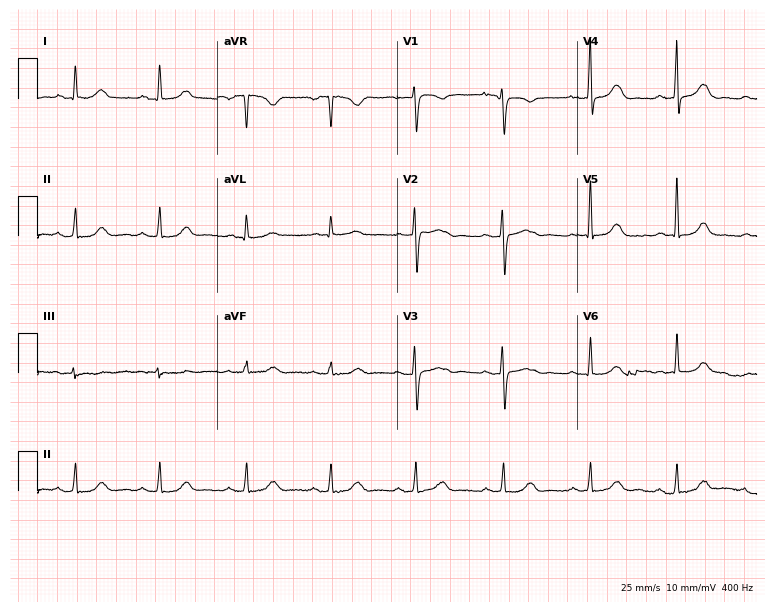
Electrocardiogram, a 64-year-old female patient. Overall reading on record: normal ECG.